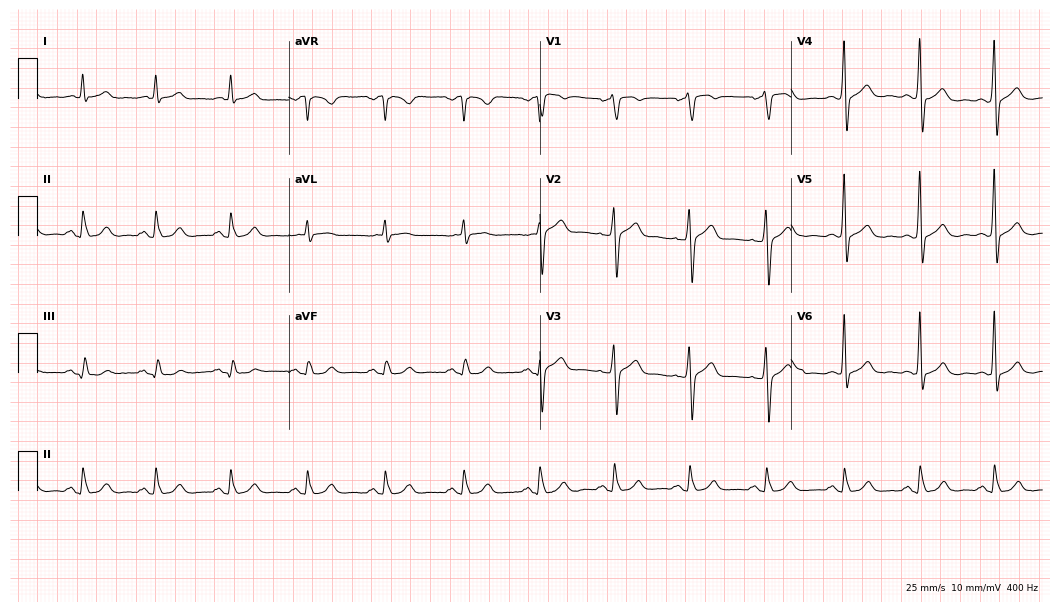
12-lead ECG from a 58-year-old male patient. No first-degree AV block, right bundle branch block, left bundle branch block, sinus bradycardia, atrial fibrillation or sinus tachycardia recorded for this tracing. Only these six findings were labelled.